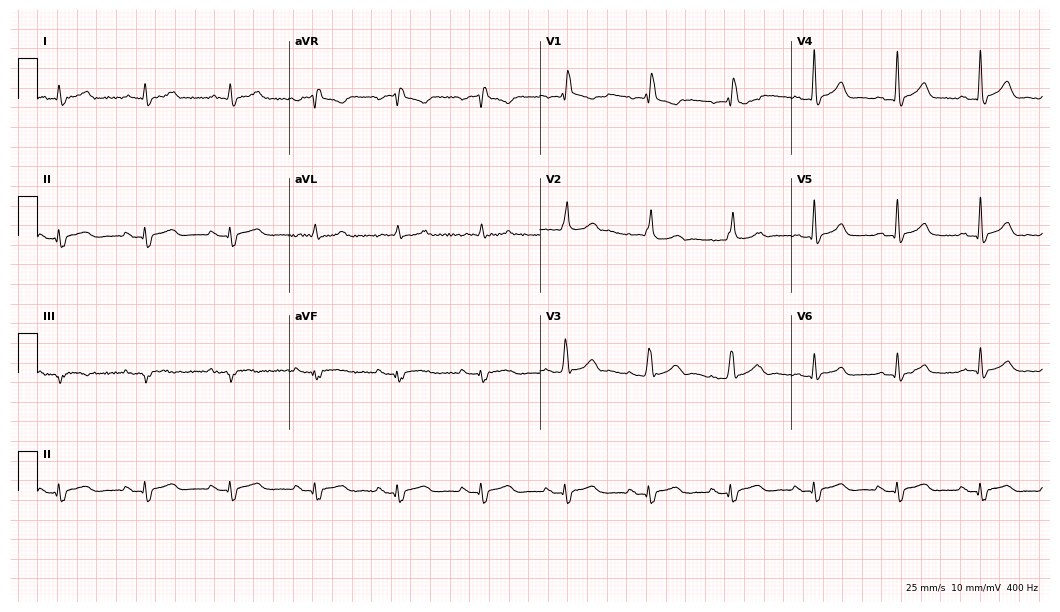
12-lead ECG (10.2-second recording at 400 Hz) from a 47-year-old male. Findings include right bundle branch block.